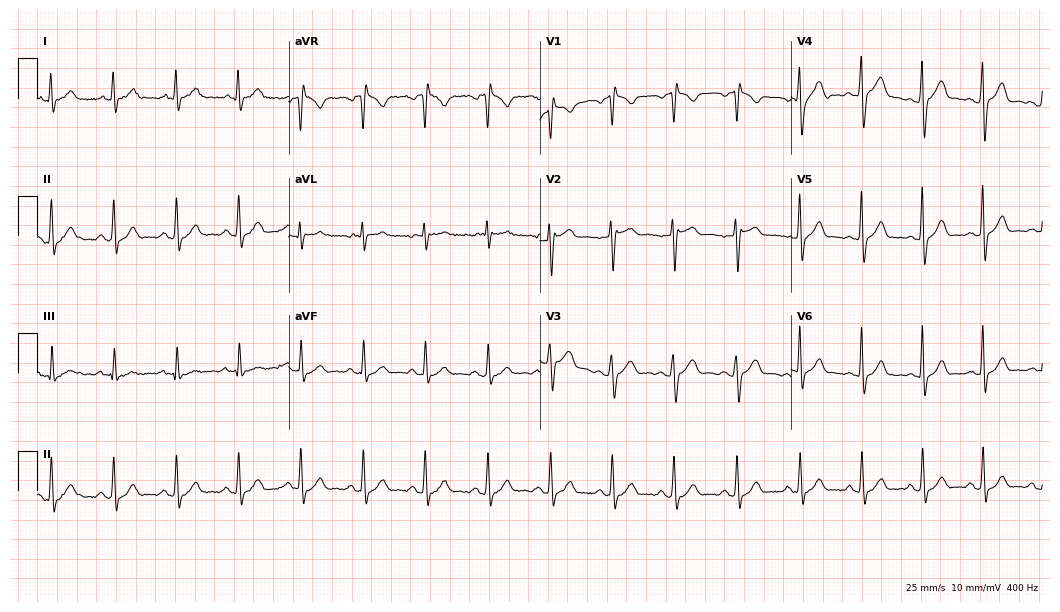
Standard 12-lead ECG recorded from a 27-year-old man (10.2-second recording at 400 Hz). Read as a normal ECG.